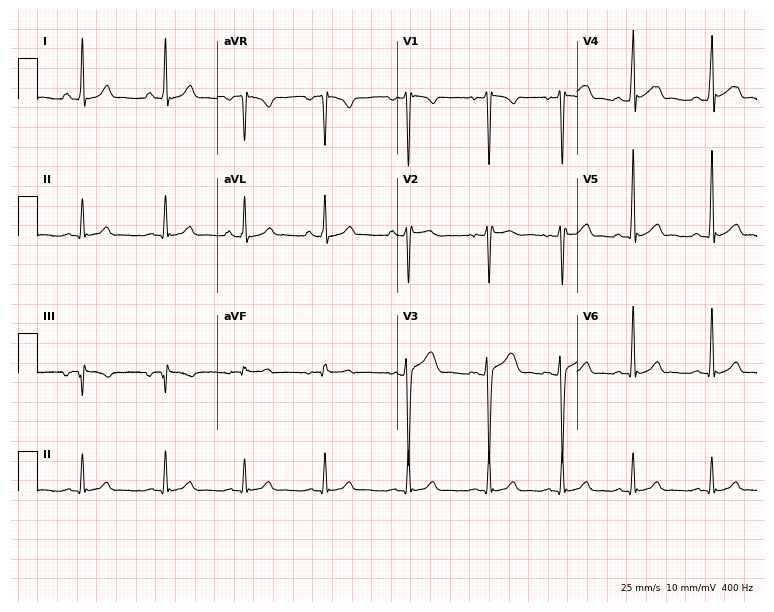
Electrocardiogram (7.3-second recording at 400 Hz), a man, 25 years old. Overall reading on record: normal ECG.